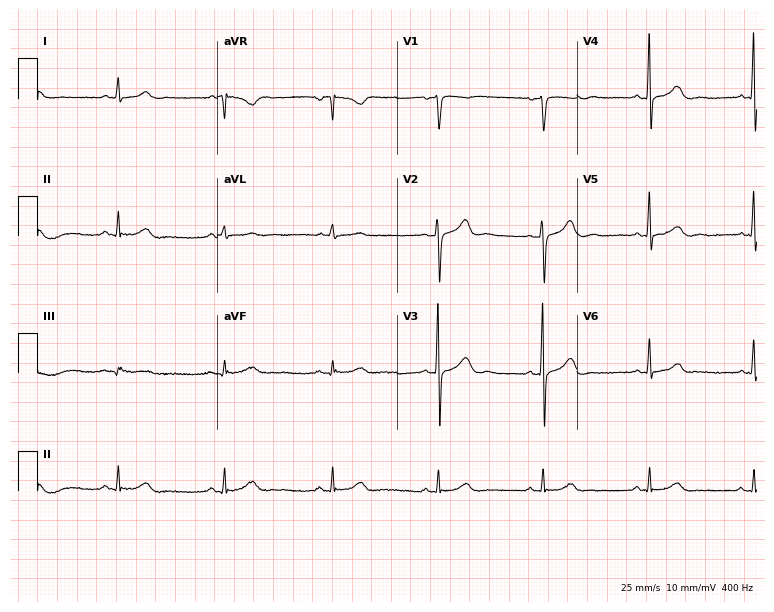
12-lead ECG from a 53-year-old female patient (7.3-second recording at 400 Hz). No first-degree AV block, right bundle branch block, left bundle branch block, sinus bradycardia, atrial fibrillation or sinus tachycardia recorded for this tracing.